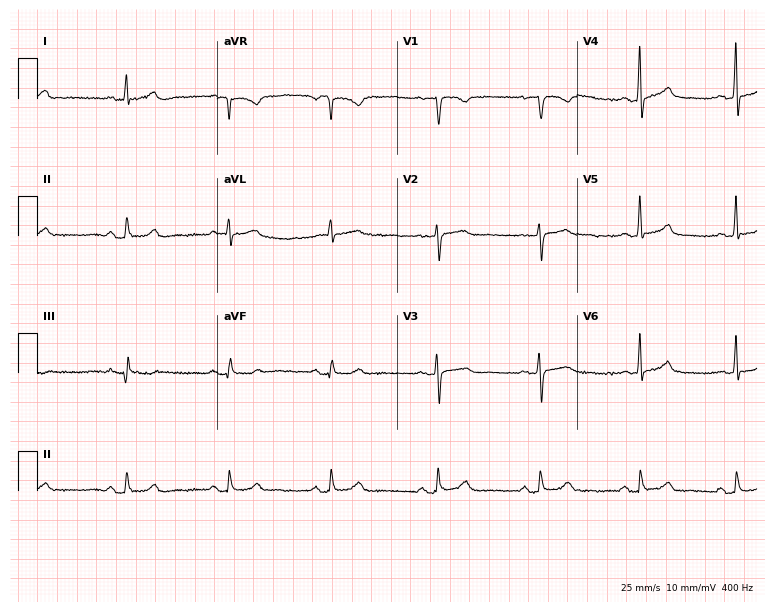
Standard 12-lead ECG recorded from a 63-year-old female (7.3-second recording at 400 Hz). None of these six findings is recorded: first-degree AV block, right bundle branch block (RBBB), left bundle branch block (LBBB), sinus bradycardia, atrial fibrillation (AF), sinus tachycardia. Only these six findings were labelled.